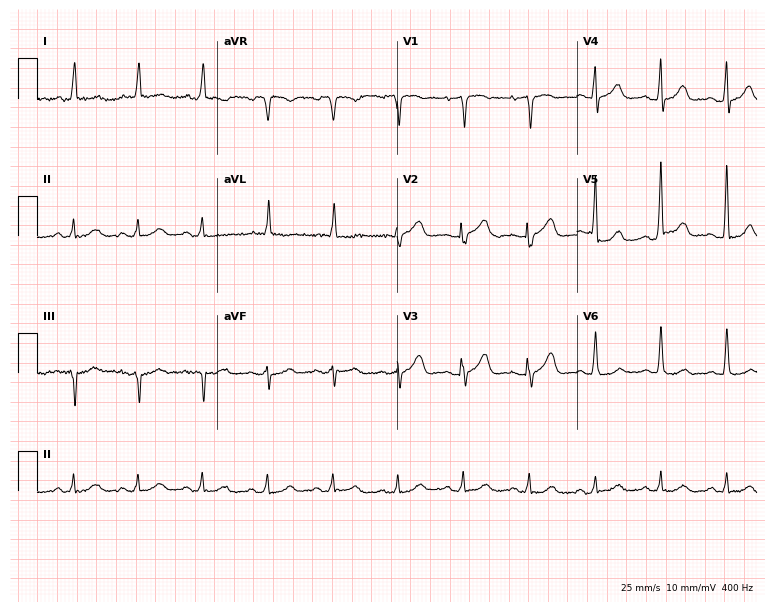
12-lead ECG (7.3-second recording at 400 Hz) from a woman, 84 years old. Labelled as a normal ECG.